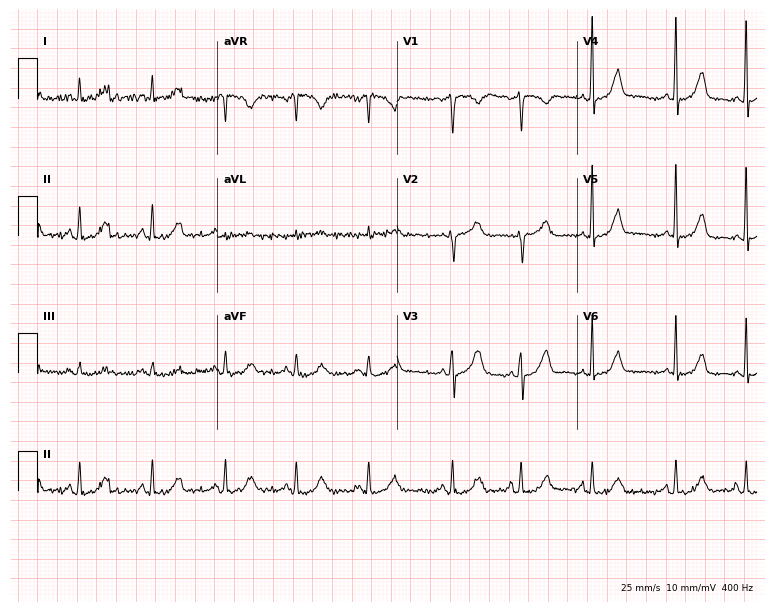
ECG (7.3-second recording at 400 Hz) — a female patient, 43 years old. Screened for six findings — first-degree AV block, right bundle branch block, left bundle branch block, sinus bradycardia, atrial fibrillation, sinus tachycardia — none is recorded.